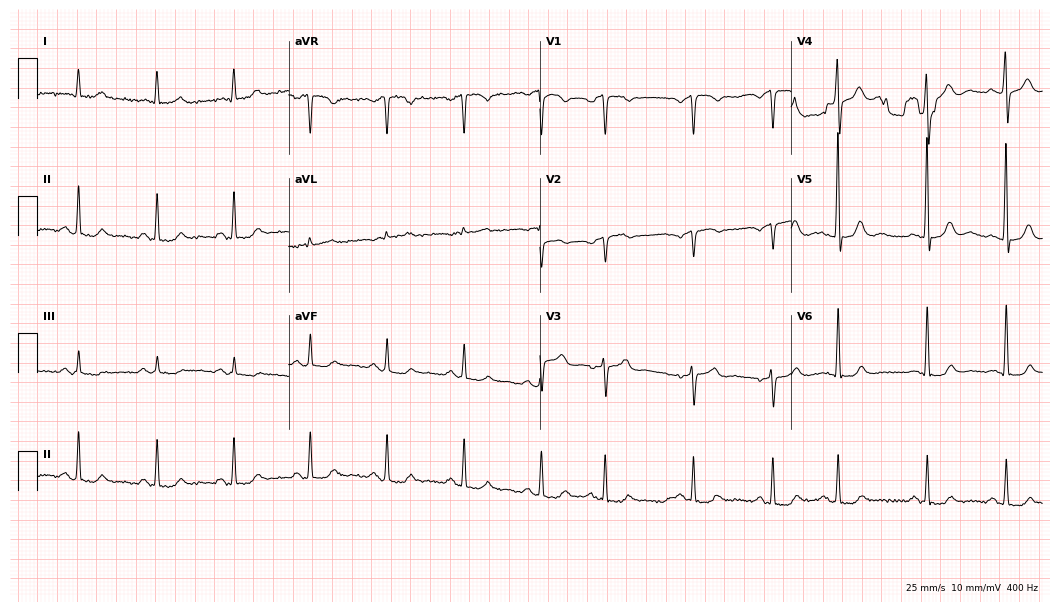
Standard 12-lead ECG recorded from an 81-year-old male. None of these six findings is recorded: first-degree AV block, right bundle branch block (RBBB), left bundle branch block (LBBB), sinus bradycardia, atrial fibrillation (AF), sinus tachycardia. Only these six findings were labelled.